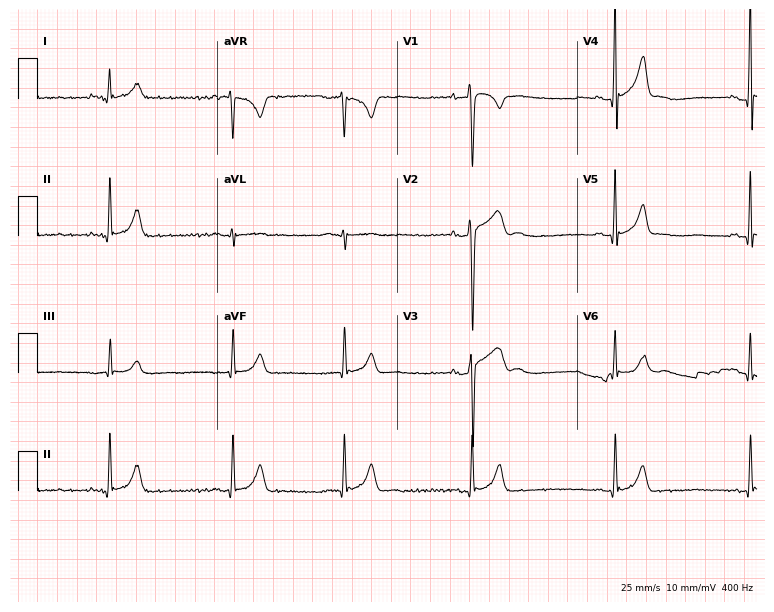
Resting 12-lead electrocardiogram. Patient: a man, 23 years old. The tracing shows sinus bradycardia (a sinus rate of 50 beats per minute or less).